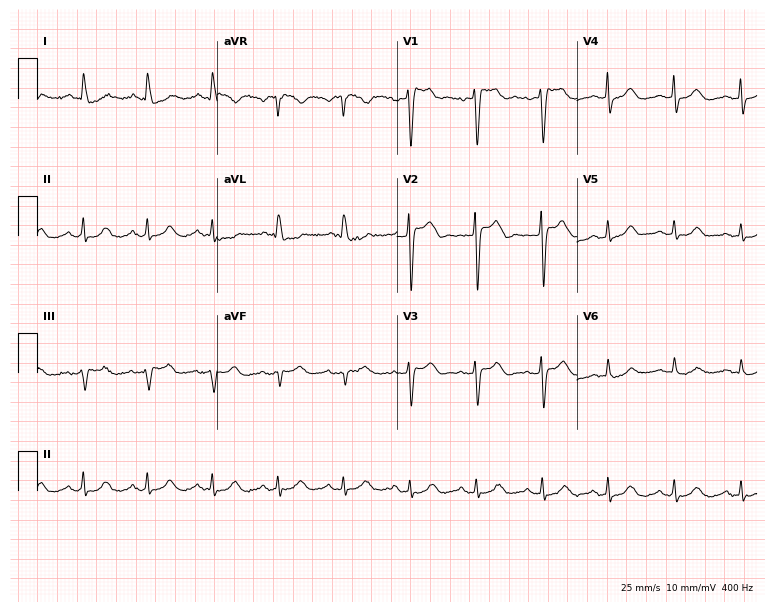
12-lead ECG from a 73-year-old female patient. No first-degree AV block, right bundle branch block, left bundle branch block, sinus bradycardia, atrial fibrillation or sinus tachycardia recorded for this tracing. Findings outside these six are not listed.